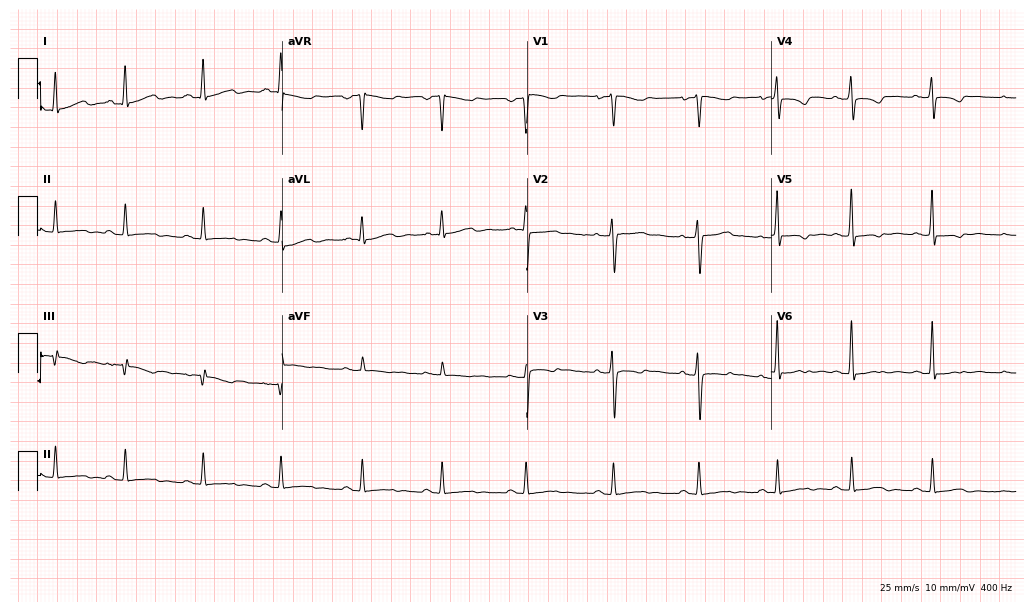
Standard 12-lead ECG recorded from a female patient, 27 years old. None of these six findings is recorded: first-degree AV block, right bundle branch block, left bundle branch block, sinus bradycardia, atrial fibrillation, sinus tachycardia.